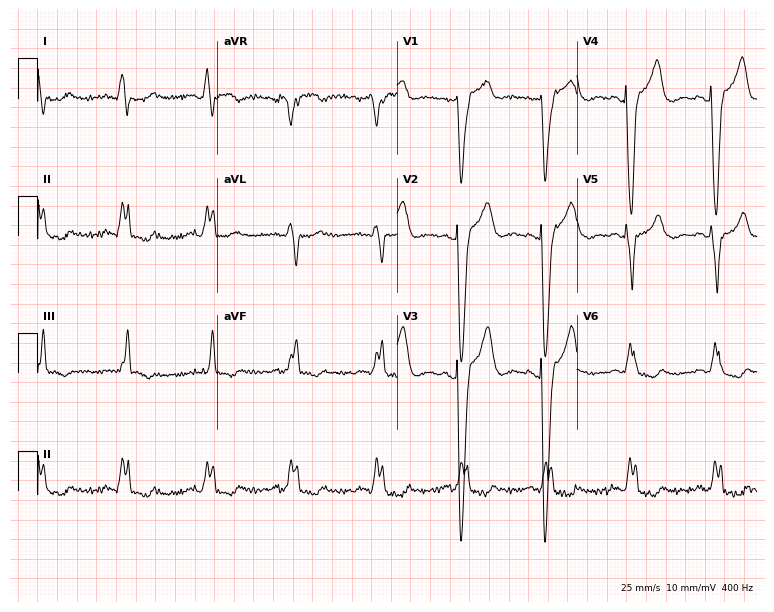
Electrocardiogram, a woman, 69 years old. Interpretation includes left bundle branch block (LBBB).